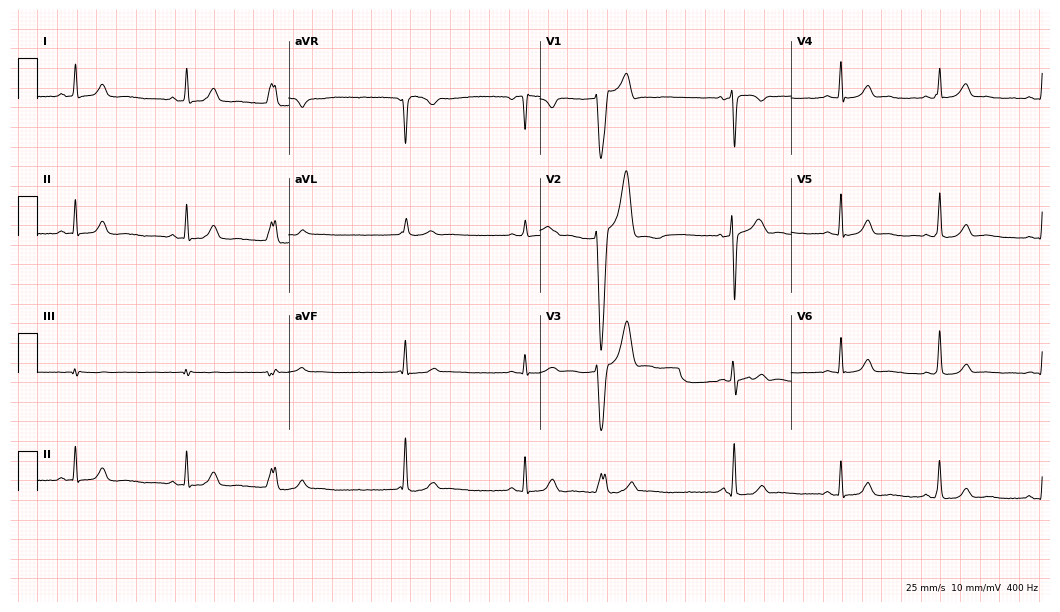
12-lead ECG from a female, 28 years old. No first-degree AV block, right bundle branch block, left bundle branch block, sinus bradycardia, atrial fibrillation or sinus tachycardia recorded for this tracing.